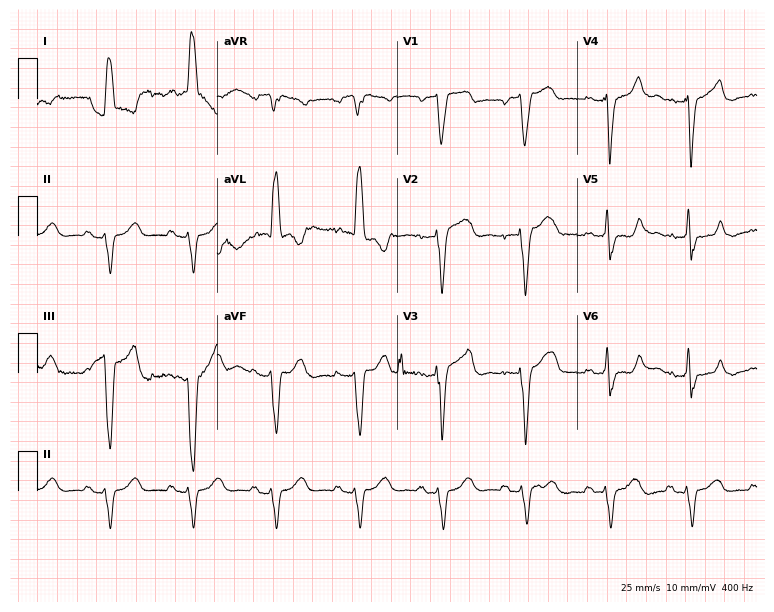
12-lead ECG from a 76-year-old female. Shows left bundle branch block (LBBB).